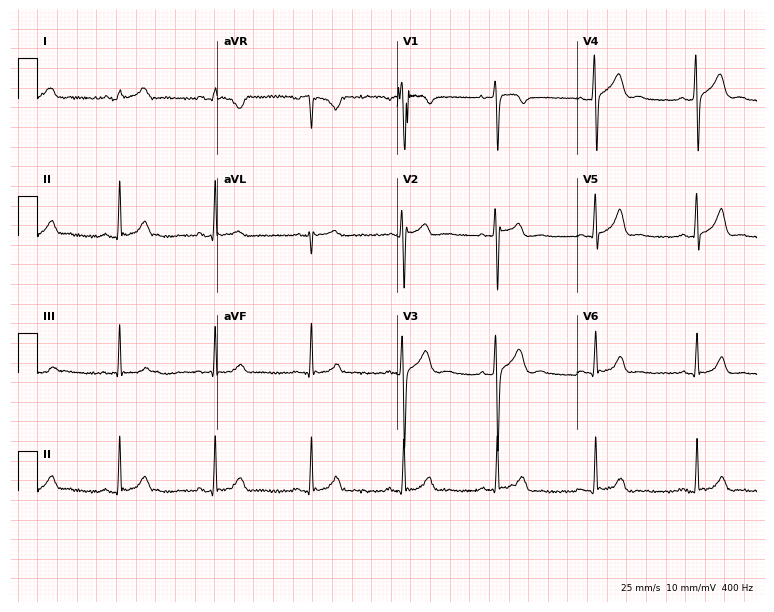
12-lead ECG (7.3-second recording at 400 Hz) from a 25-year-old man. Screened for six findings — first-degree AV block, right bundle branch block, left bundle branch block, sinus bradycardia, atrial fibrillation, sinus tachycardia — none is recorded.